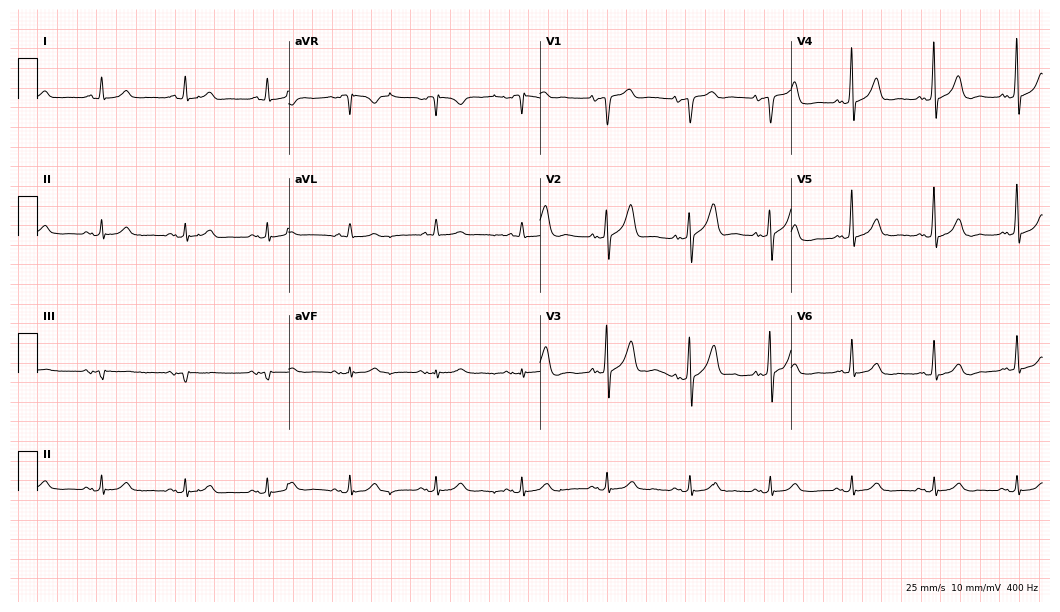
12-lead ECG from a male patient, 74 years old (10.2-second recording at 400 Hz). Recorded interpretation: within normal limits.